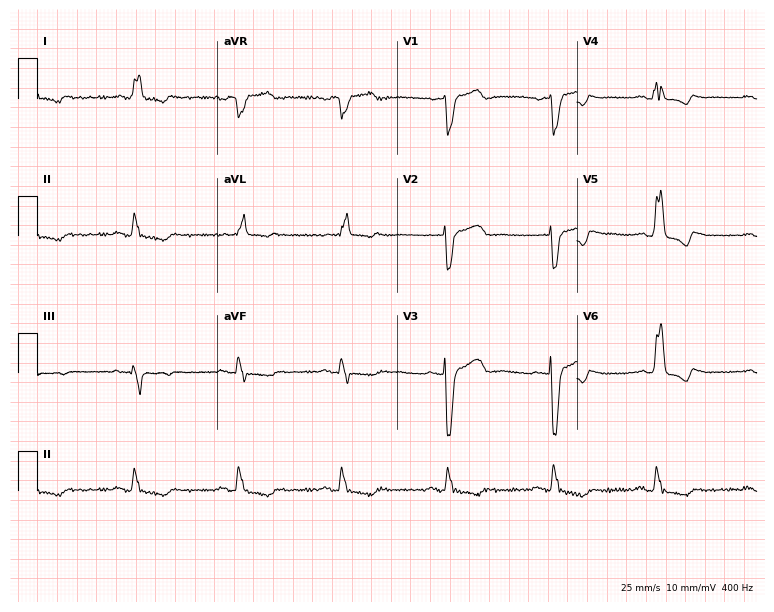
ECG — a man, 80 years old. Findings include left bundle branch block.